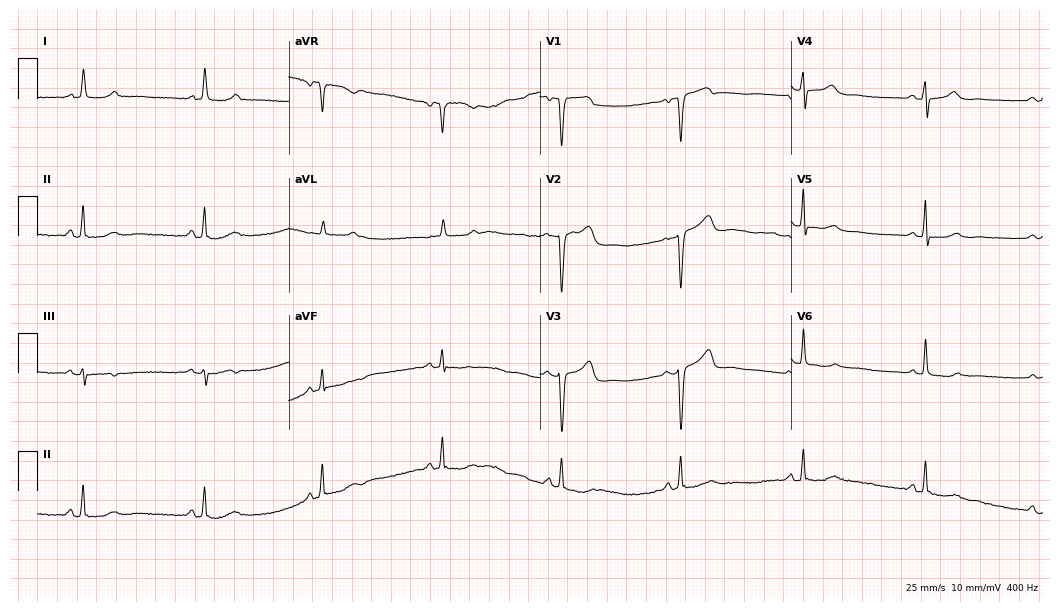
12-lead ECG from a 64-year-old female patient (10.2-second recording at 400 Hz). No first-degree AV block, right bundle branch block (RBBB), left bundle branch block (LBBB), sinus bradycardia, atrial fibrillation (AF) or sinus tachycardia recorded for this tracing.